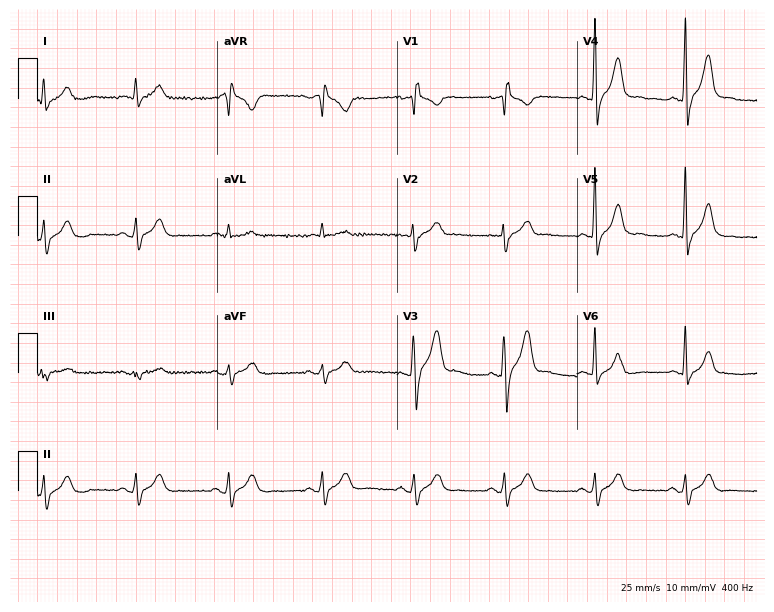
Electrocardiogram, a male, 62 years old. Of the six screened findings (first-degree AV block, right bundle branch block, left bundle branch block, sinus bradycardia, atrial fibrillation, sinus tachycardia), none is recorded. Only these six findings were labelled.